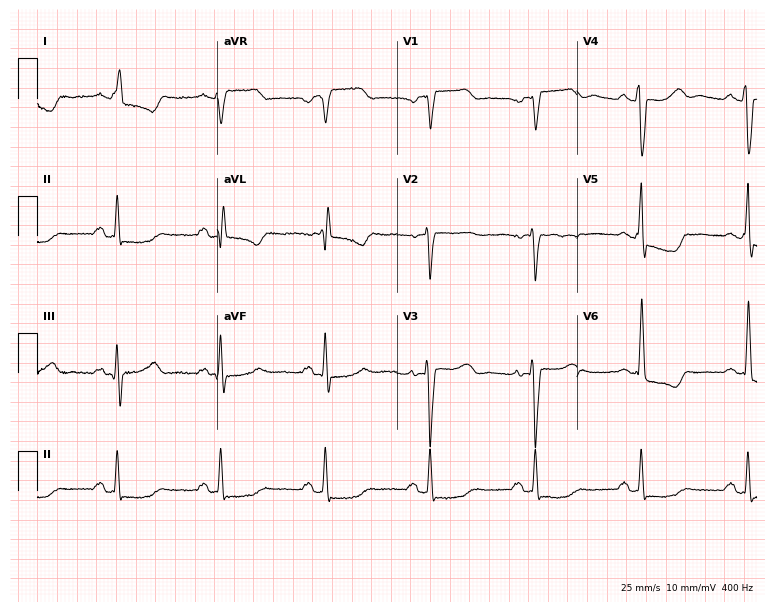
Standard 12-lead ECG recorded from a 48-year-old woman. None of these six findings is recorded: first-degree AV block, right bundle branch block (RBBB), left bundle branch block (LBBB), sinus bradycardia, atrial fibrillation (AF), sinus tachycardia. Findings outside these six are not listed.